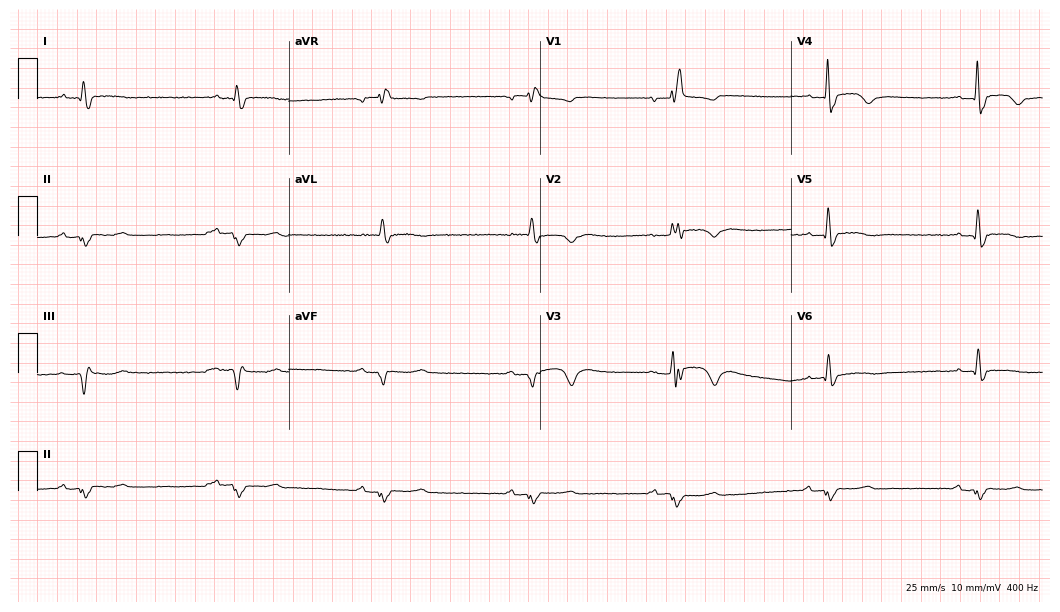
Standard 12-lead ECG recorded from a female, 65 years old. The tracing shows sinus bradycardia (a sinus rate of 50 beats per minute or less).